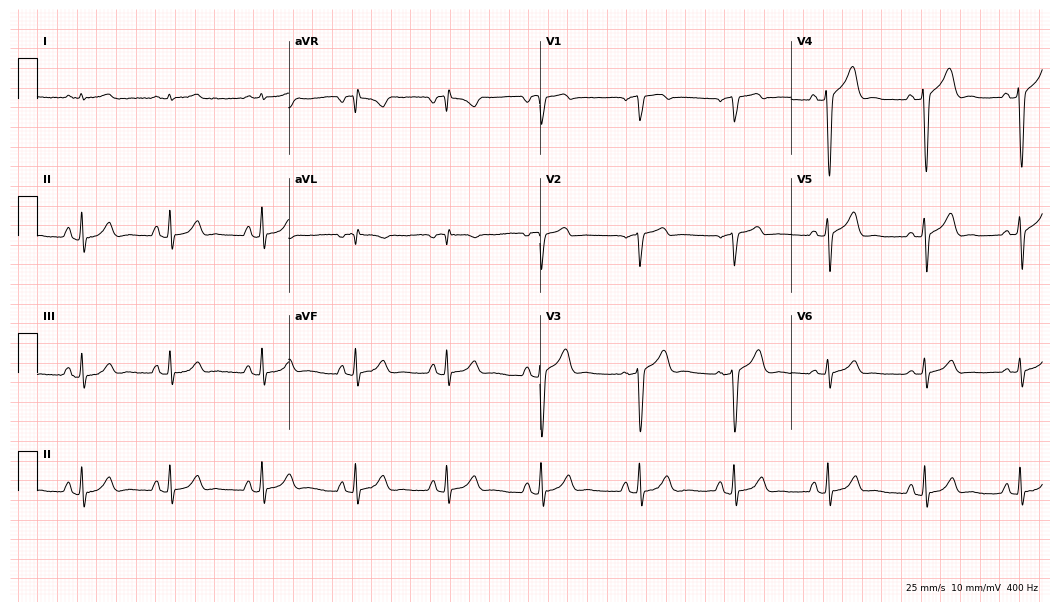
ECG — a man, 58 years old. Screened for six findings — first-degree AV block, right bundle branch block, left bundle branch block, sinus bradycardia, atrial fibrillation, sinus tachycardia — none is recorded.